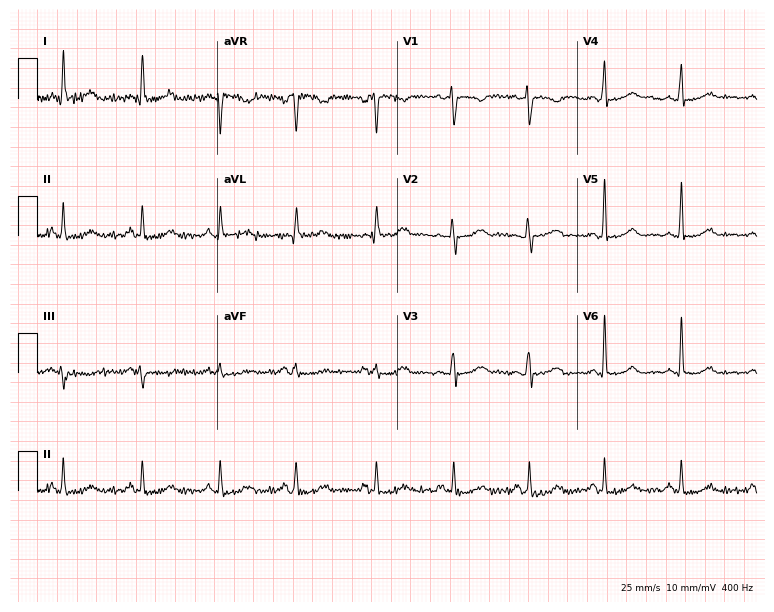
12-lead ECG (7.3-second recording at 400 Hz) from a 49-year-old woman. Screened for six findings — first-degree AV block, right bundle branch block, left bundle branch block, sinus bradycardia, atrial fibrillation, sinus tachycardia — none is recorded.